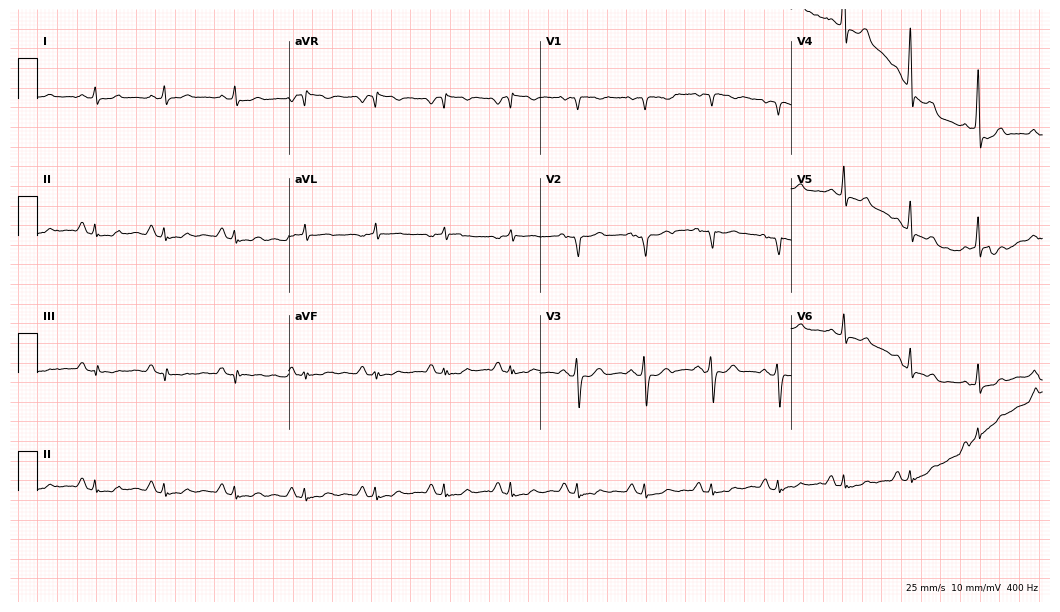
ECG (10.2-second recording at 400 Hz) — a 20-year-old female patient. Labelled as a normal ECG.